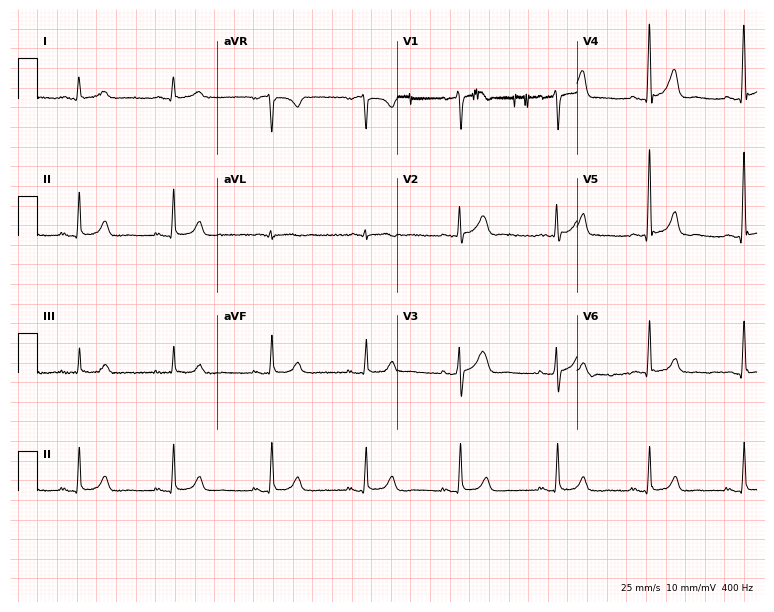
Electrocardiogram (7.3-second recording at 400 Hz), a 59-year-old female patient. Overall reading on record: normal ECG.